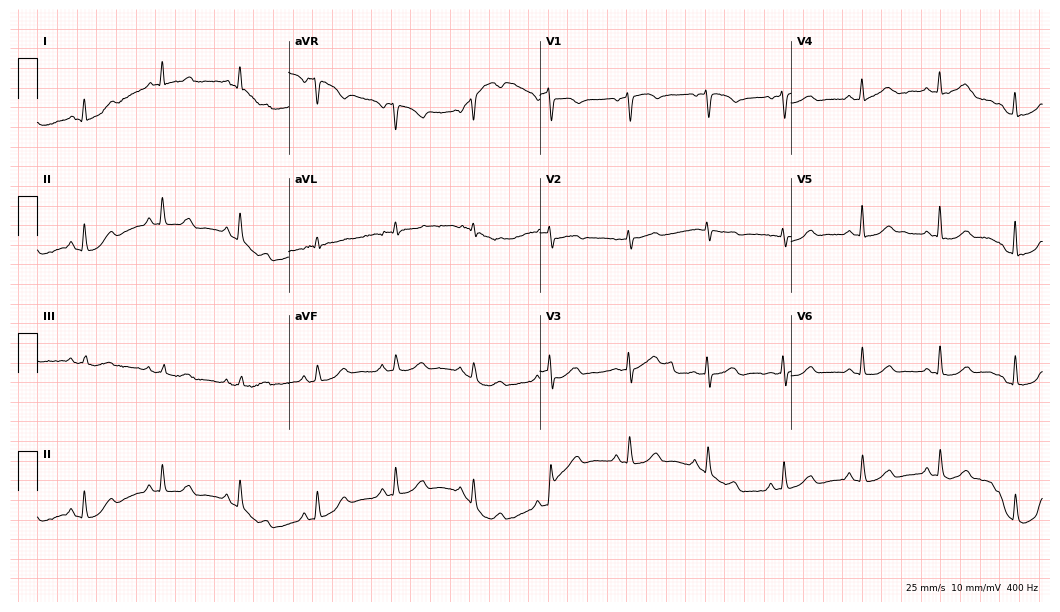
ECG — a woman, 73 years old. Labelled as a normal ECG.